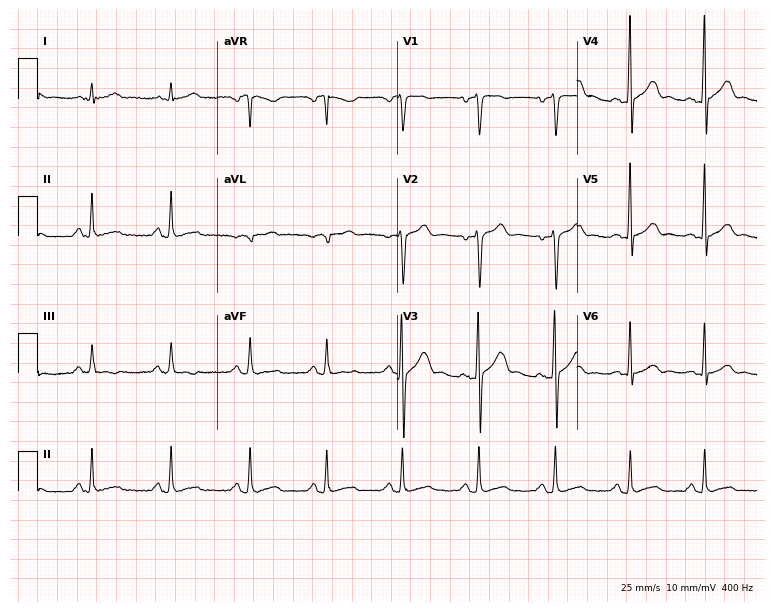
Standard 12-lead ECG recorded from a male, 32 years old (7.3-second recording at 400 Hz). Read as a normal ECG.